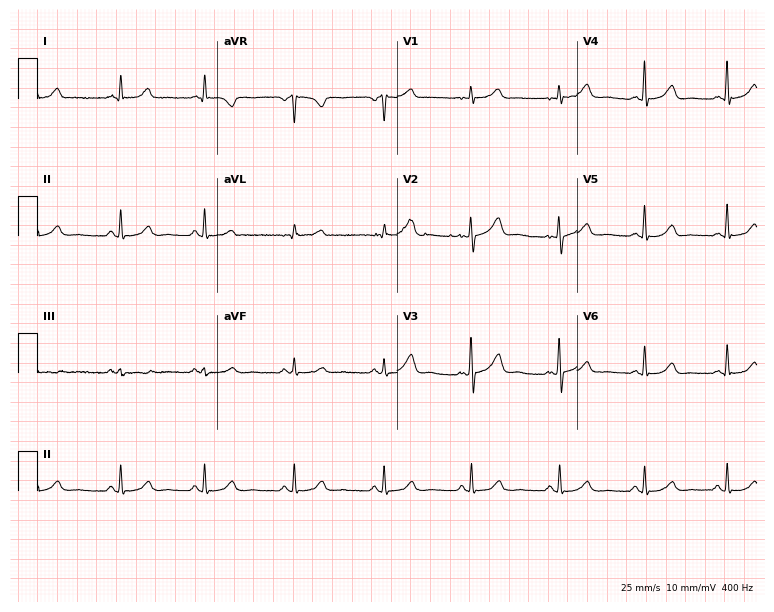
Standard 12-lead ECG recorded from a woman, 46 years old (7.3-second recording at 400 Hz). Read as a normal ECG.